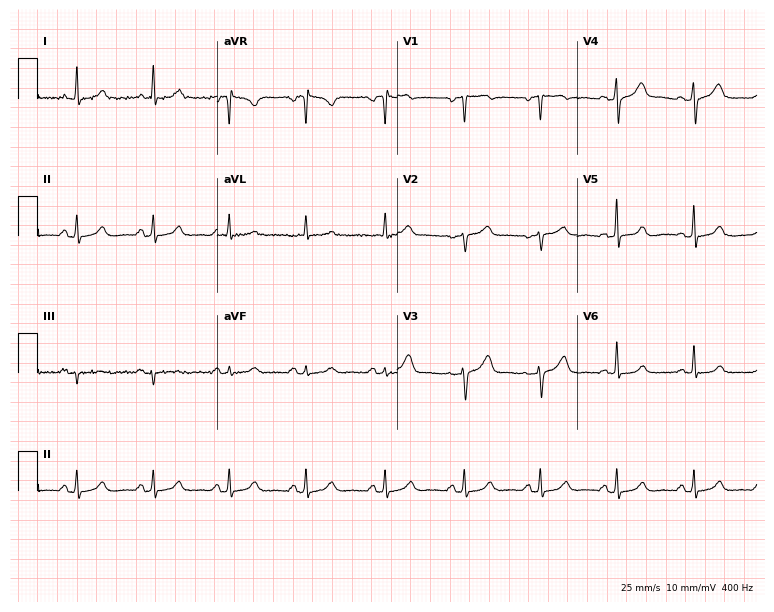
ECG (7.3-second recording at 400 Hz) — a 51-year-old female. Labelled as a normal ECG.